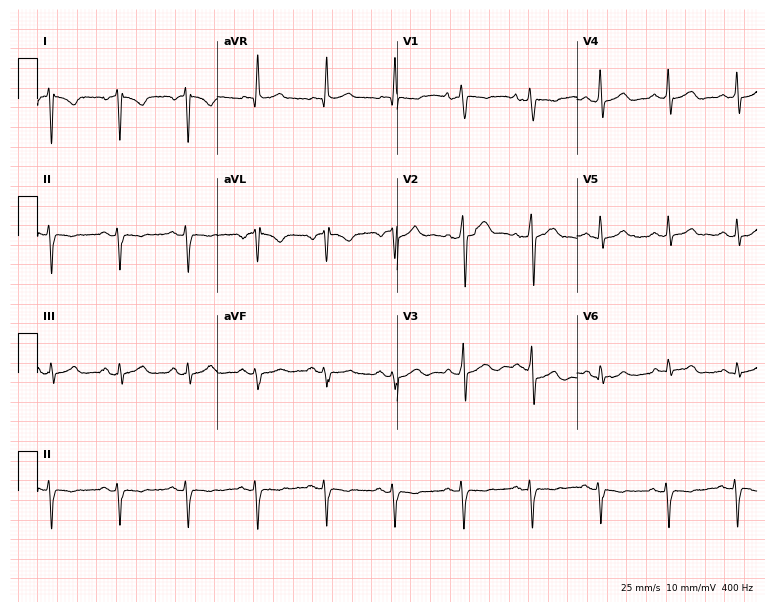
12-lead ECG from a man, 63 years old (7.3-second recording at 400 Hz). No first-degree AV block, right bundle branch block (RBBB), left bundle branch block (LBBB), sinus bradycardia, atrial fibrillation (AF) or sinus tachycardia recorded for this tracing.